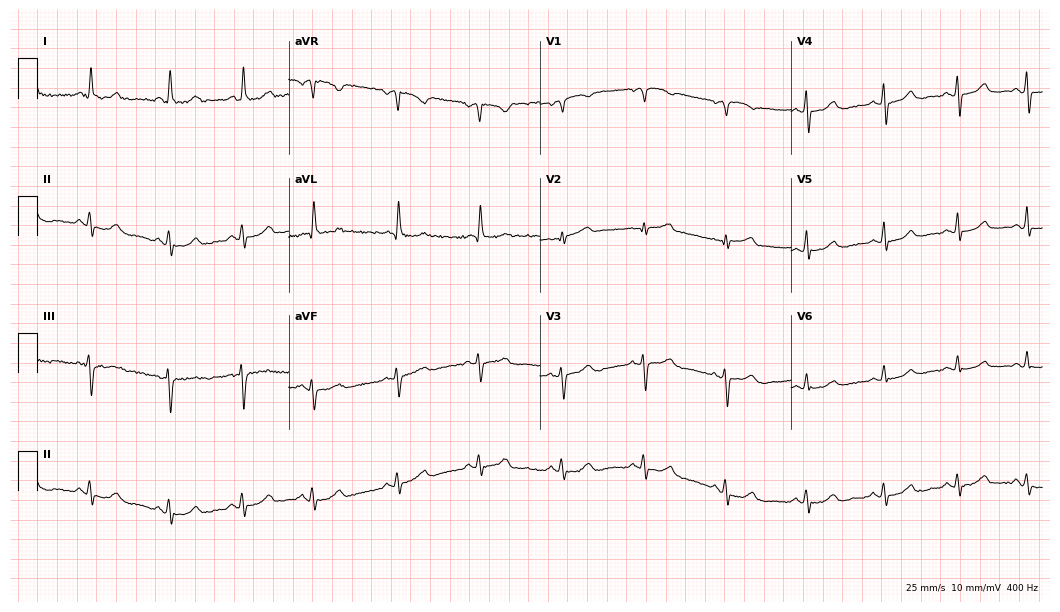
12-lead ECG (10.2-second recording at 400 Hz) from a 72-year-old female. Labelled as a normal ECG.